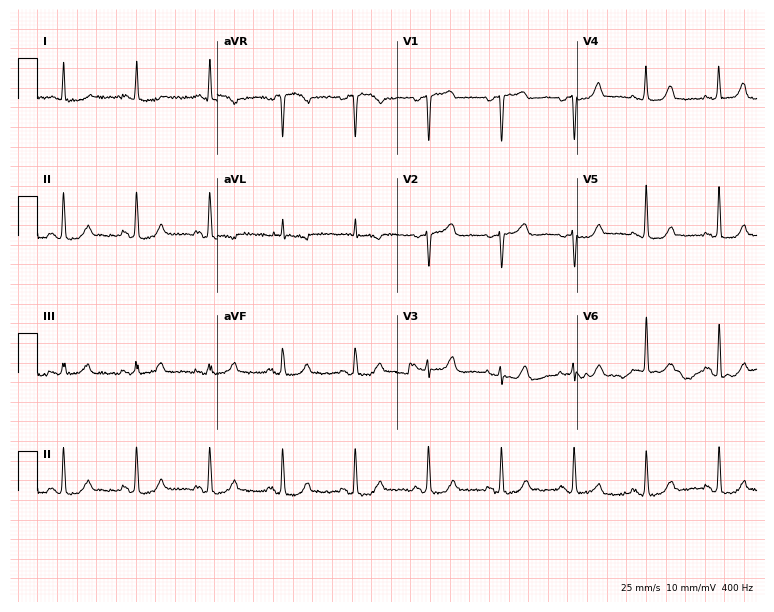
12-lead ECG from a female, 68 years old. Screened for six findings — first-degree AV block, right bundle branch block, left bundle branch block, sinus bradycardia, atrial fibrillation, sinus tachycardia — none is recorded.